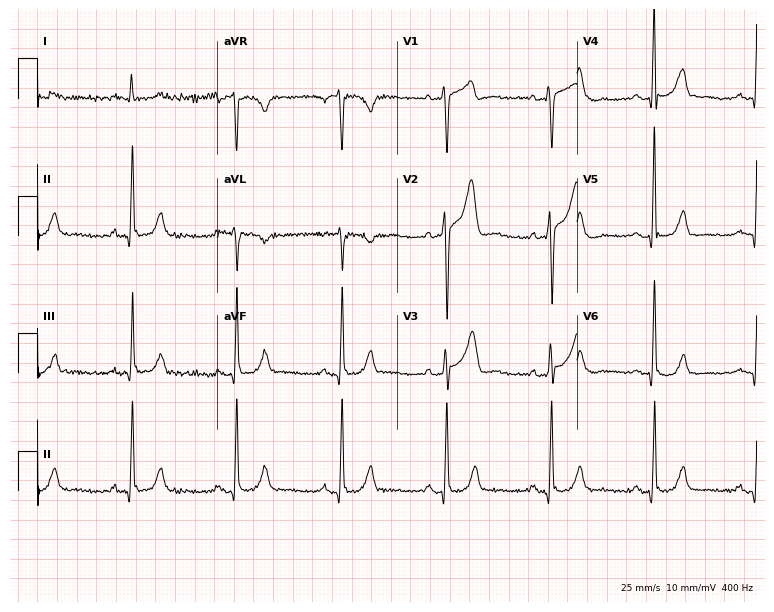
12-lead ECG from a 61-year-old male patient. No first-degree AV block, right bundle branch block, left bundle branch block, sinus bradycardia, atrial fibrillation or sinus tachycardia recorded for this tracing.